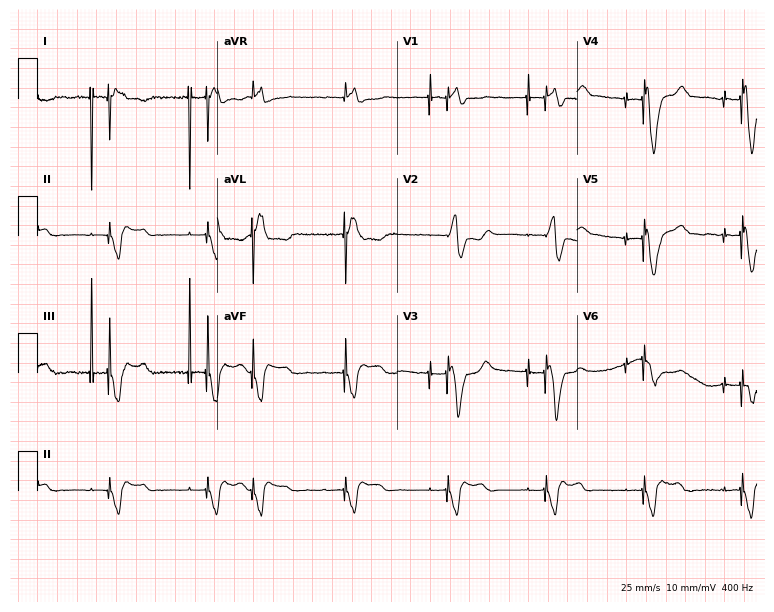
12-lead ECG (7.3-second recording at 400 Hz) from a woman, 78 years old. Screened for six findings — first-degree AV block, right bundle branch block, left bundle branch block, sinus bradycardia, atrial fibrillation, sinus tachycardia — none is recorded. Findings outside these six are not listed.